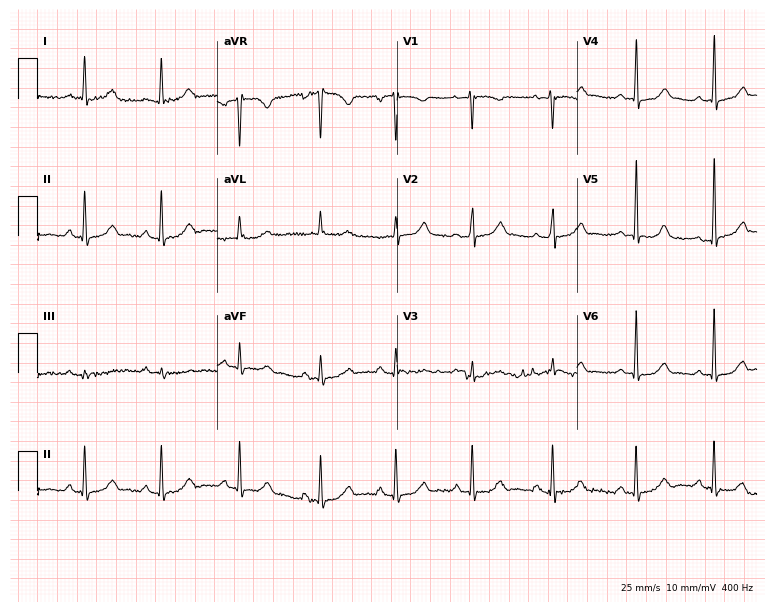
Resting 12-lead electrocardiogram. Patient: a 39-year-old female. Read as a normal ECG.